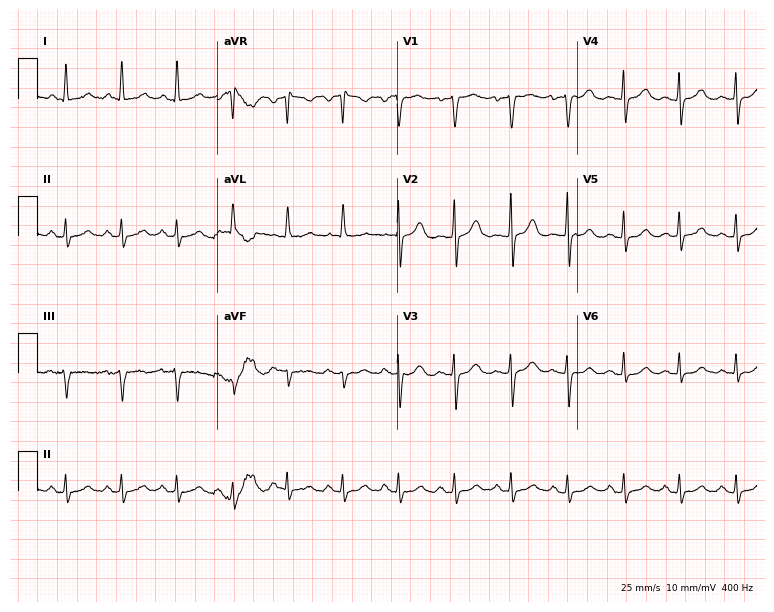
Resting 12-lead electrocardiogram. Patient: a 68-year-old female. The tracing shows sinus tachycardia (a sinus rate of 100 beats per minute or more).